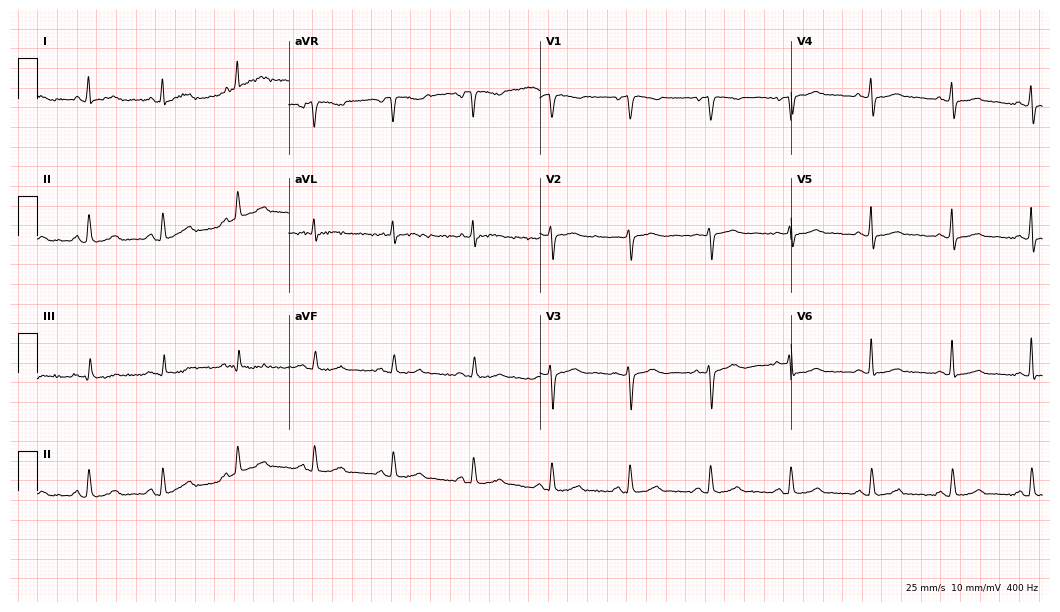
Electrocardiogram, a 51-year-old female. Overall reading on record: normal ECG.